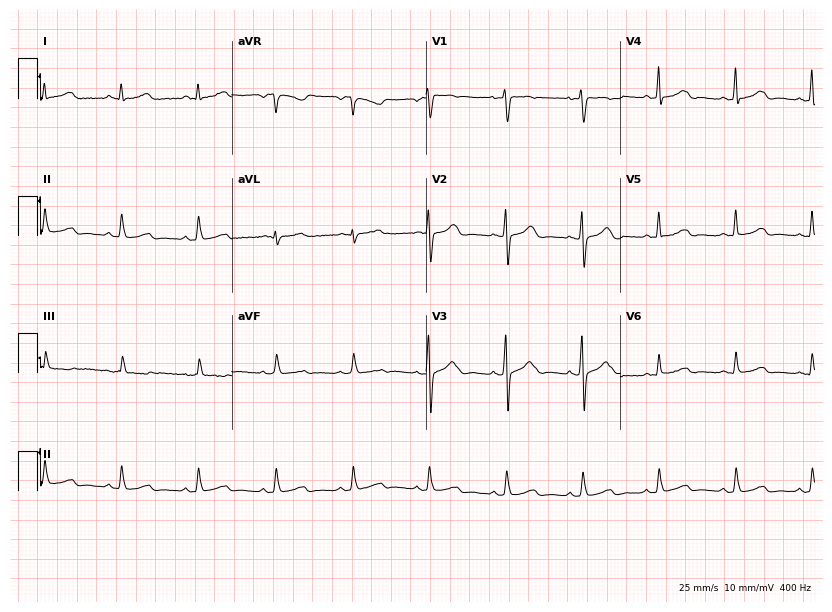
Electrocardiogram, a 39-year-old female patient. Of the six screened findings (first-degree AV block, right bundle branch block, left bundle branch block, sinus bradycardia, atrial fibrillation, sinus tachycardia), none is recorded.